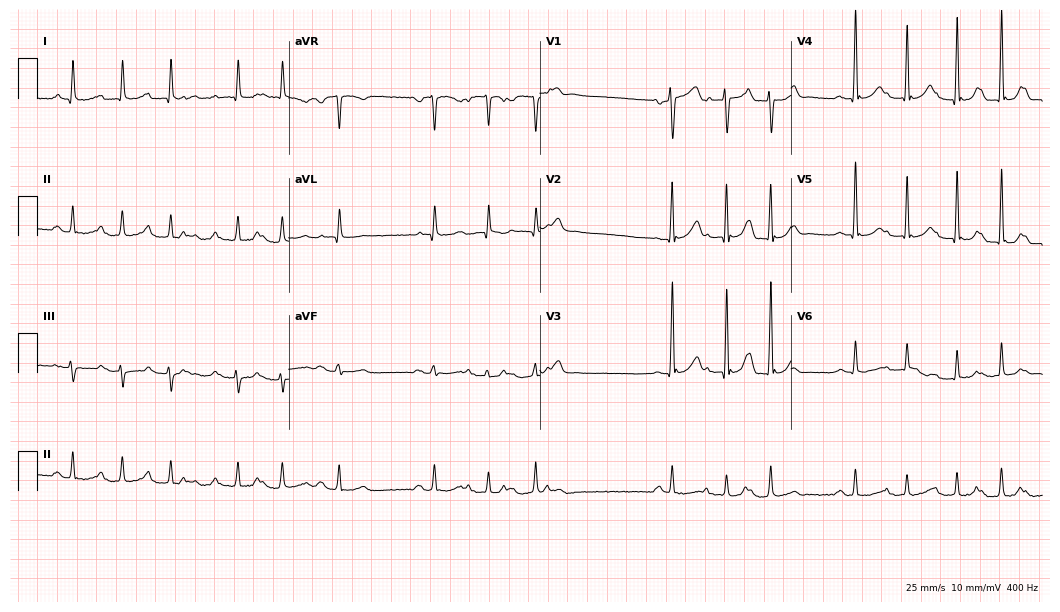
Resting 12-lead electrocardiogram. Patient: a man, 69 years old. None of these six findings is recorded: first-degree AV block, right bundle branch block, left bundle branch block, sinus bradycardia, atrial fibrillation, sinus tachycardia.